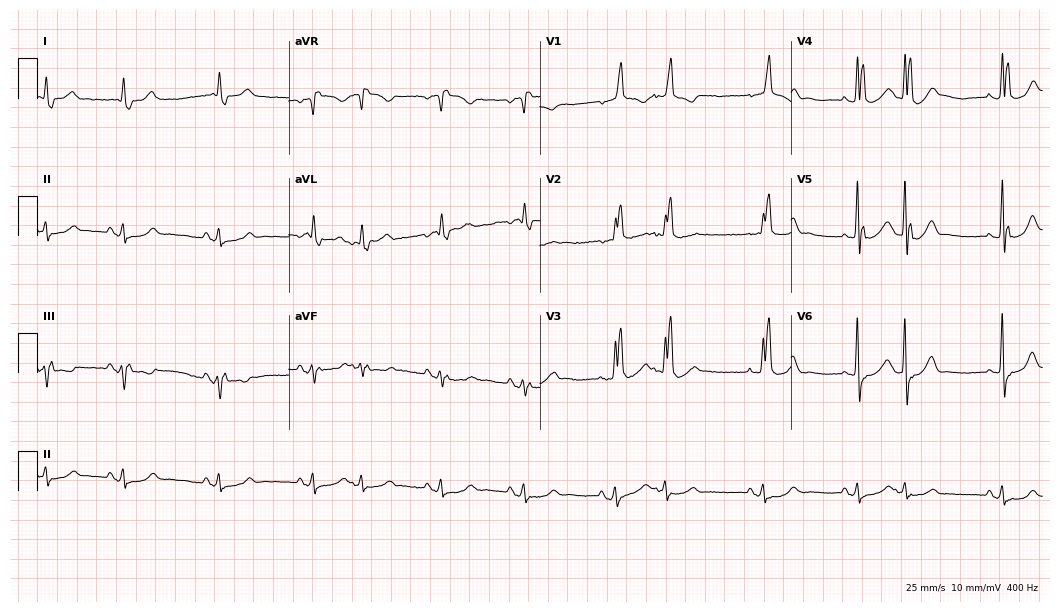
12-lead ECG from a male patient, 78 years old (10.2-second recording at 400 Hz). No first-degree AV block, right bundle branch block, left bundle branch block, sinus bradycardia, atrial fibrillation or sinus tachycardia recorded for this tracing.